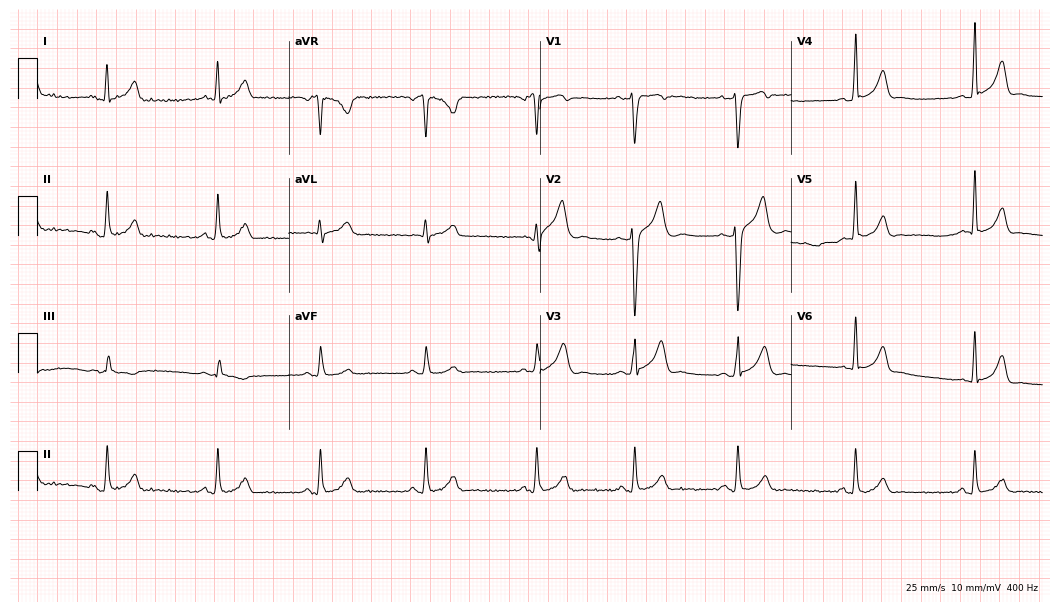
Resting 12-lead electrocardiogram. Patient: a male, 24 years old. Read as a normal ECG.